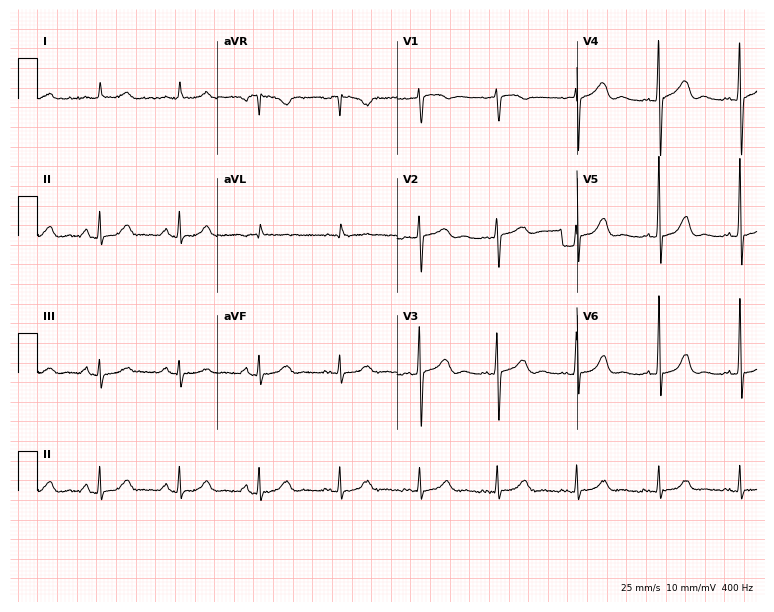
Standard 12-lead ECG recorded from an 83-year-old female patient (7.3-second recording at 400 Hz). None of these six findings is recorded: first-degree AV block, right bundle branch block, left bundle branch block, sinus bradycardia, atrial fibrillation, sinus tachycardia.